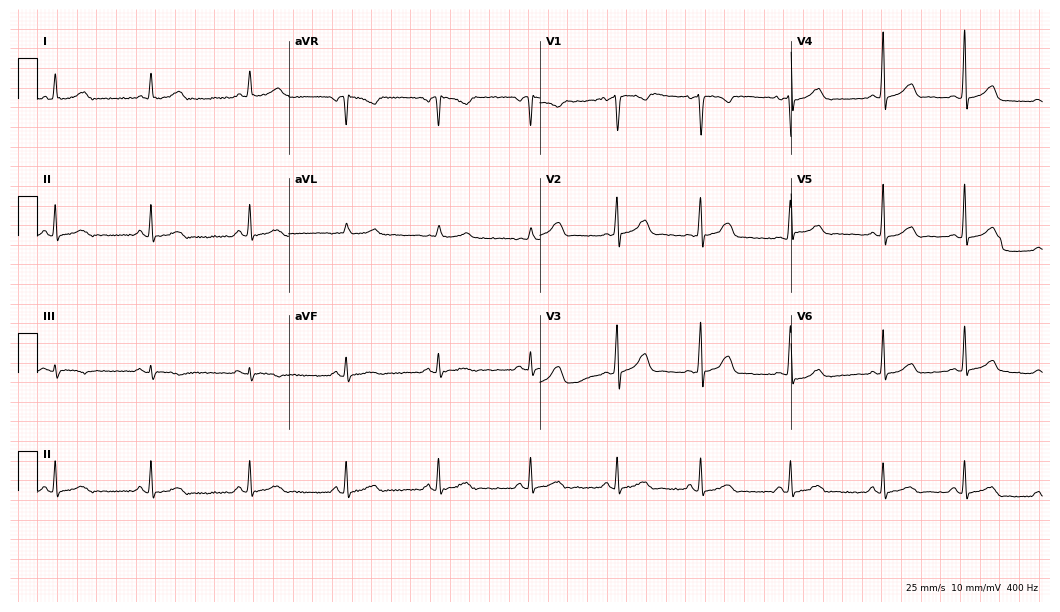
Electrocardiogram (10.2-second recording at 400 Hz), a female patient, 36 years old. Overall reading on record: normal ECG.